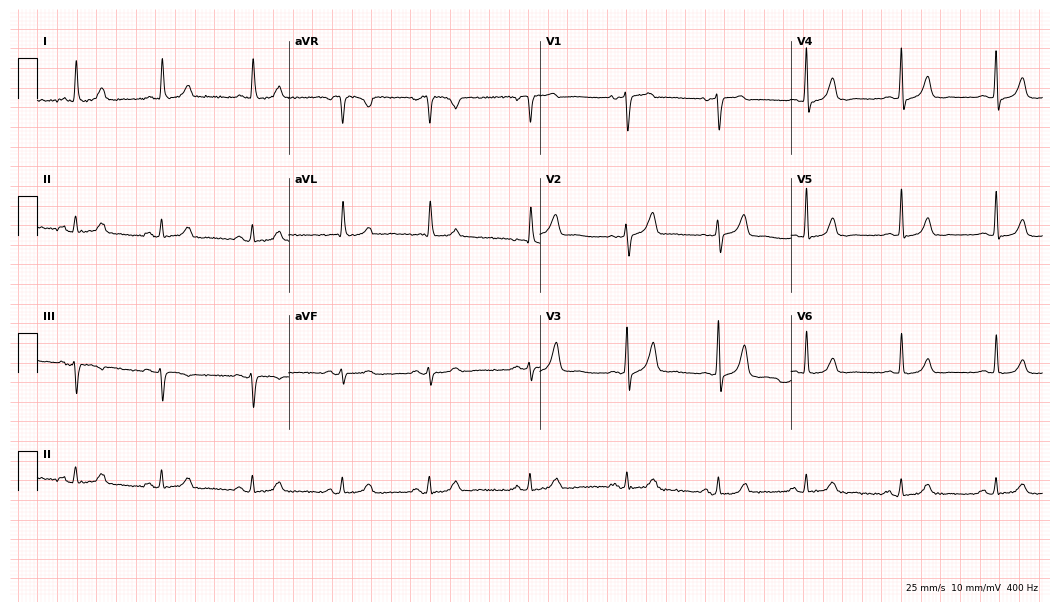
Electrocardiogram (10.2-second recording at 400 Hz), an 82-year-old female. Overall reading on record: normal ECG.